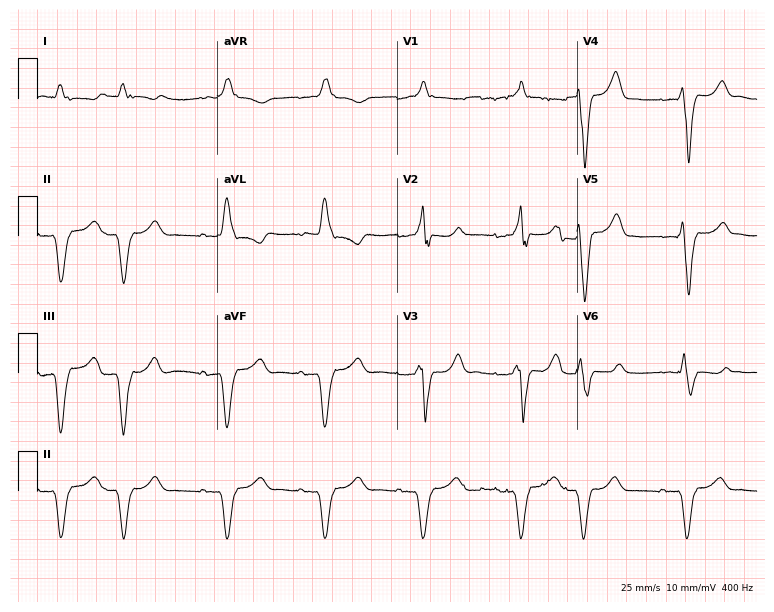
Standard 12-lead ECG recorded from a male patient, 68 years old. None of these six findings is recorded: first-degree AV block, right bundle branch block, left bundle branch block, sinus bradycardia, atrial fibrillation, sinus tachycardia.